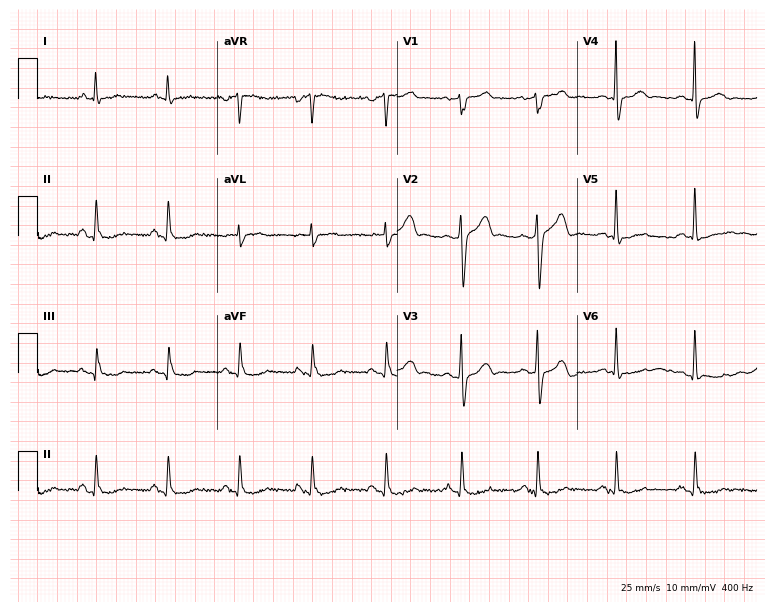
Resting 12-lead electrocardiogram (7.3-second recording at 400 Hz). Patient: a 29-year-old male. None of these six findings is recorded: first-degree AV block, right bundle branch block (RBBB), left bundle branch block (LBBB), sinus bradycardia, atrial fibrillation (AF), sinus tachycardia. Findings outside these six are not listed.